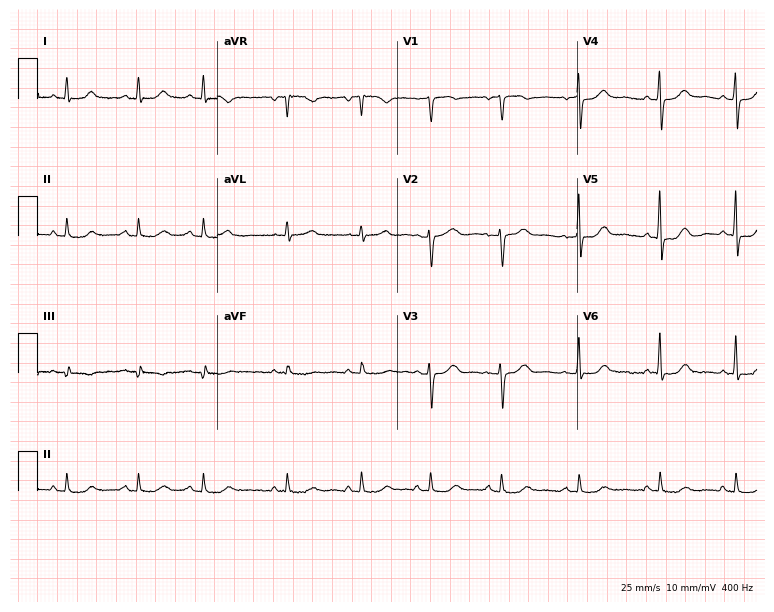
Resting 12-lead electrocardiogram. Patient: a 73-year-old woman. None of these six findings is recorded: first-degree AV block, right bundle branch block, left bundle branch block, sinus bradycardia, atrial fibrillation, sinus tachycardia.